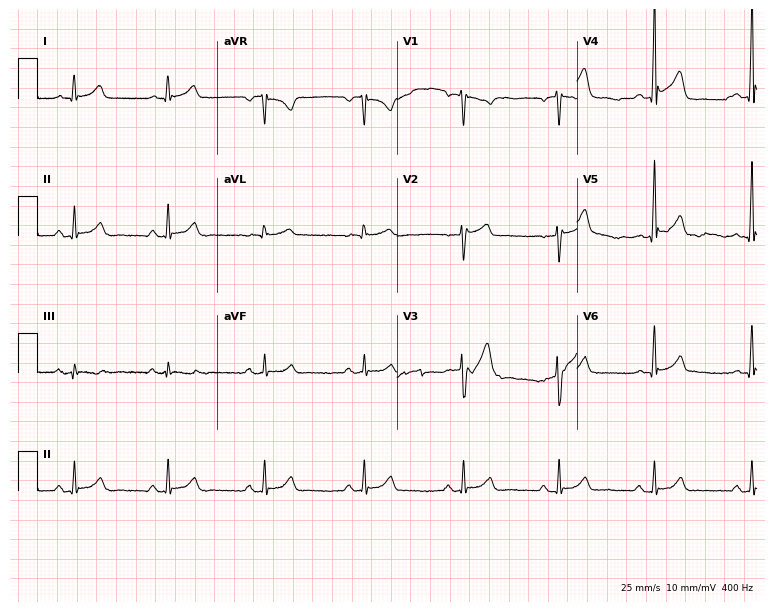
12-lead ECG from a male patient, 55 years old. Labelled as a normal ECG.